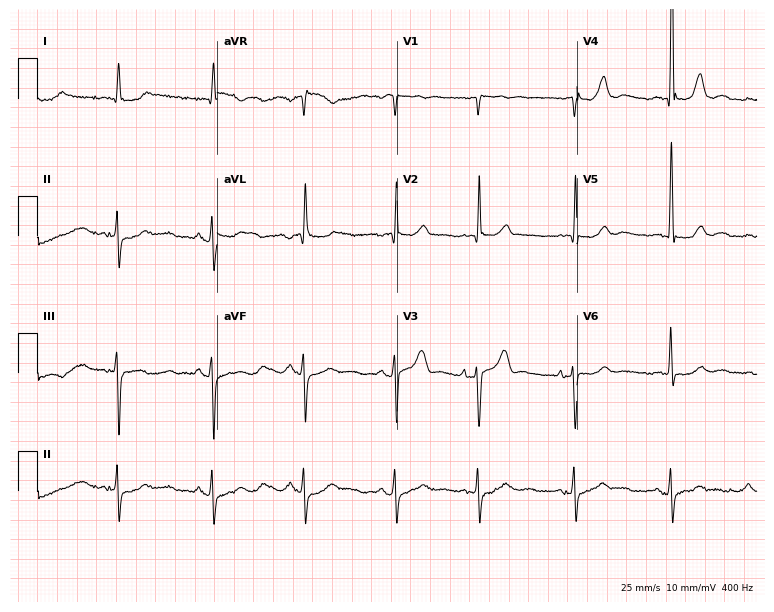
12-lead ECG (7.3-second recording at 400 Hz) from a 21-year-old male patient. Screened for six findings — first-degree AV block, right bundle branch block (RBBB), left bundle branch block (LBBB), sinus bradycardia, atrial fibrillation (AF), sinus tachycardia — none is recorded.